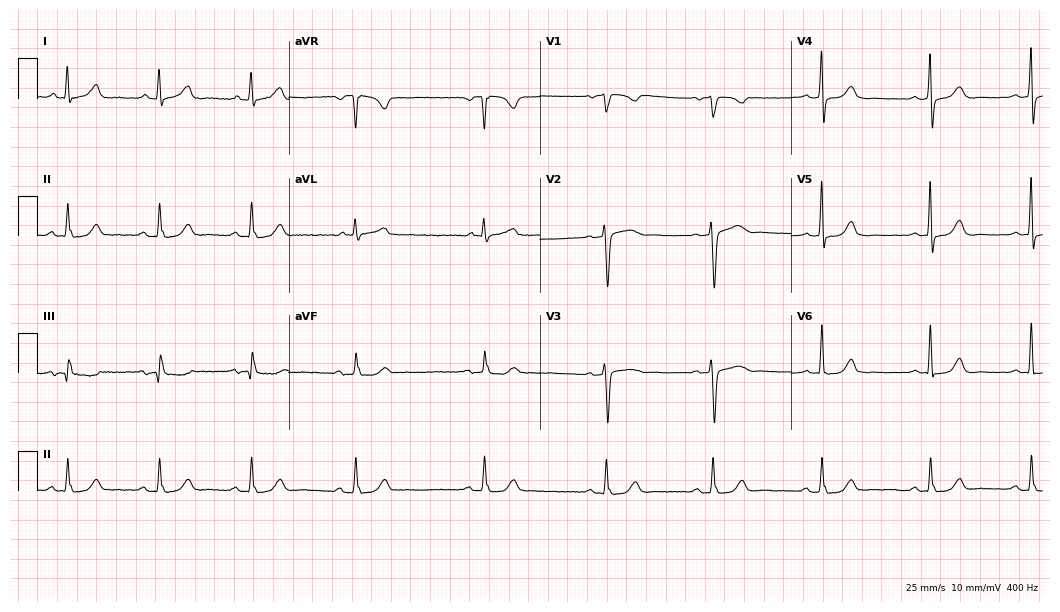
Resting 12-lead electrocardiogram (10.2-second recording at 400 Hz). Patient: a woman, 55 years old. None of these six findings is recorded: first-degree AV block, right bundle branch block, left bundle branch block, sinus bradycardia, atrial fibrillation, sinus tachycardia. Only these six findings were labelled.